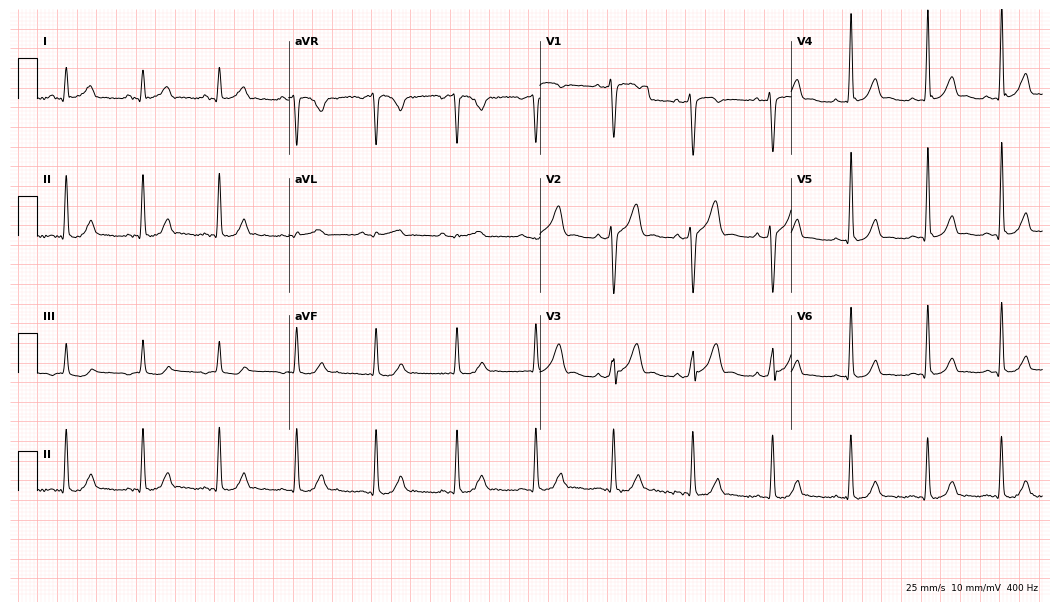
Electrocardiogram, a man, 43 years old. Overall reading on record: normal ECG.